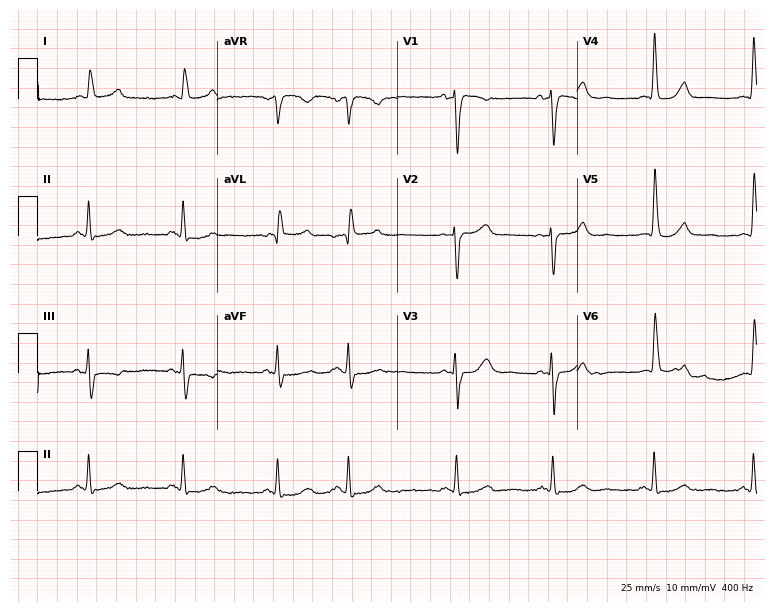
Standard 12-lead ECG recorded from a woman, 75 years old. None of these six findings is recorded: first-degree AV block, right bundle branch block (RBBB), left bundle branch block (LBBB), sinus bradycardia, atrial fibrillation (AF), sinus tachycardia.